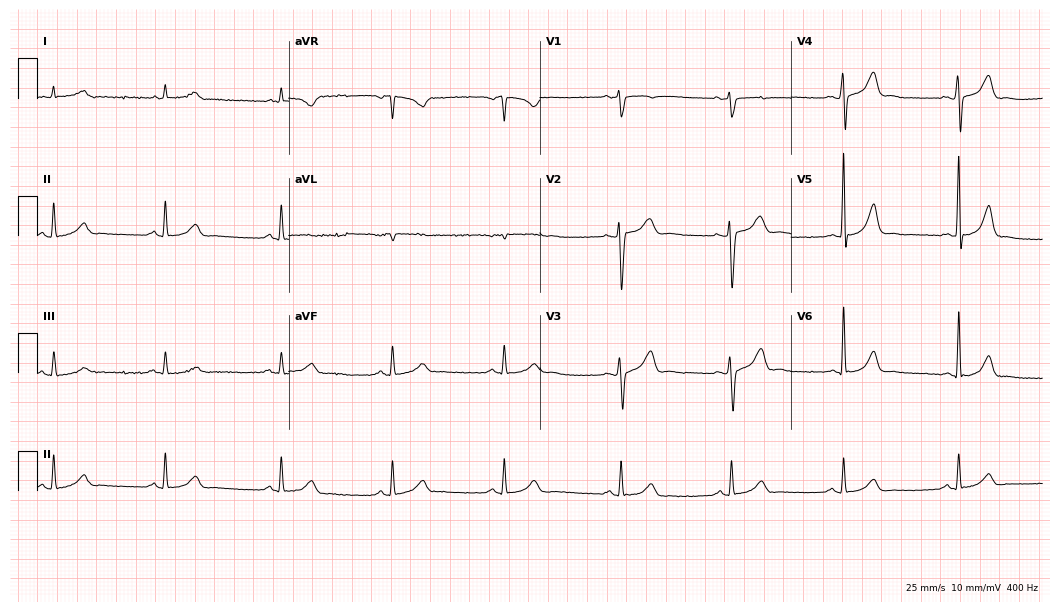
Electrocardiogram (10.2-second recording at 400 Hz), a 54-year-old man. Overall reading on record: normal ECG.